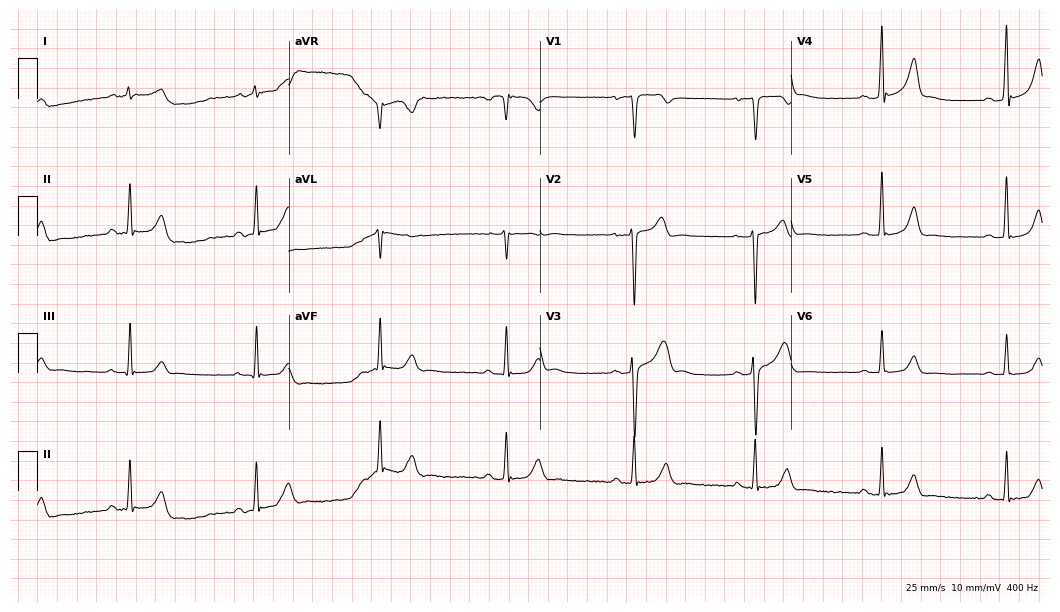
12-lead ECG (10.2-second recording at 400 Hz) from a 38-year-old man. Screened for six findings — first-degree AV block, right bundle branch block (RBBB), left bundle branch block (LBBB), sinus bradycardia, atrial fibrillation (AF), sinus tachycardia — none is recorded.